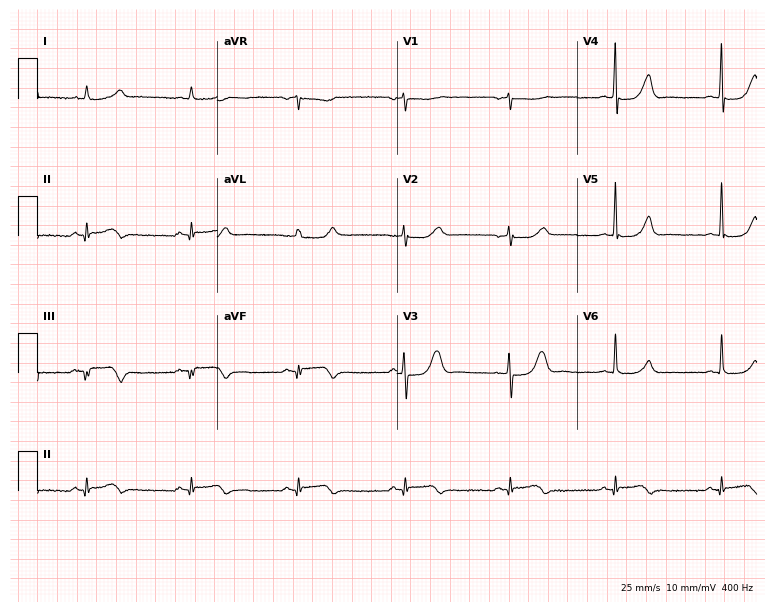
Standard 12-lead ECG recorded from a male patient, 71 years old. Read as a normal ECG.